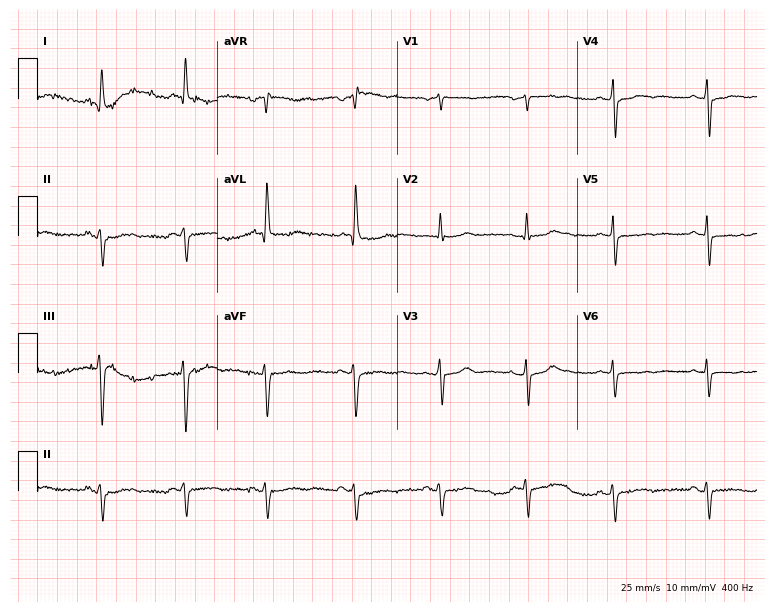
Electrocardiogram (7.3-second recording at 400 Hz), a woman, 76 years old. Of the six screened findings (first-degree AV block, right bundle branch block, left bundle branch block, sinus bradycardia, atrial fibrillation, sinus tachycardia), none is recorded.